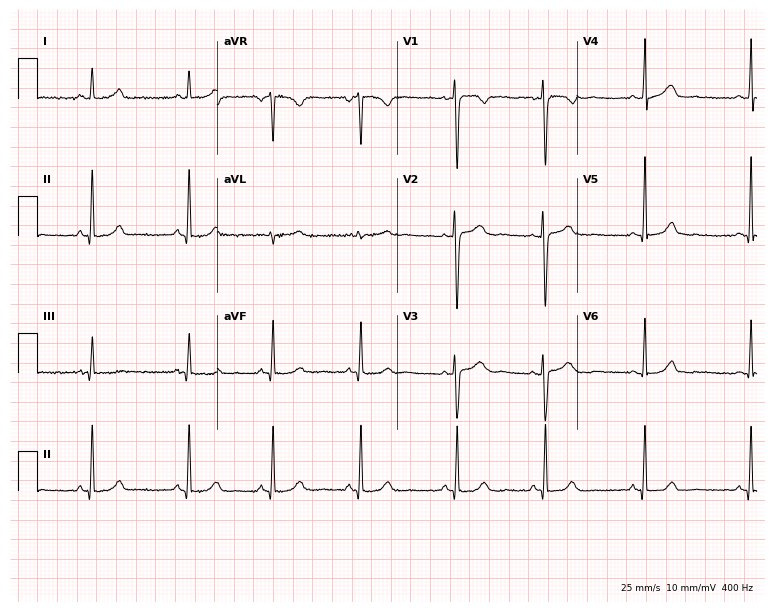
ECG (7.3-second recording at 400 Hz) — a female patient, 37 years old. Labelled as a normal ECG.